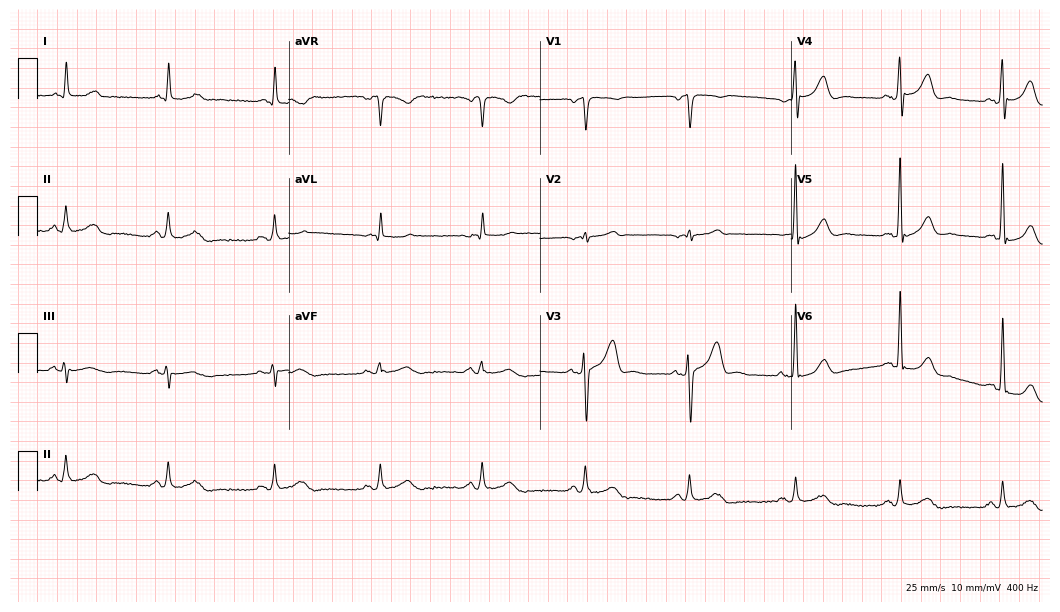
ECG (10.2-second recording at 400 Hz) — a 70-year-old male patient. Labelled as a normal ECG.